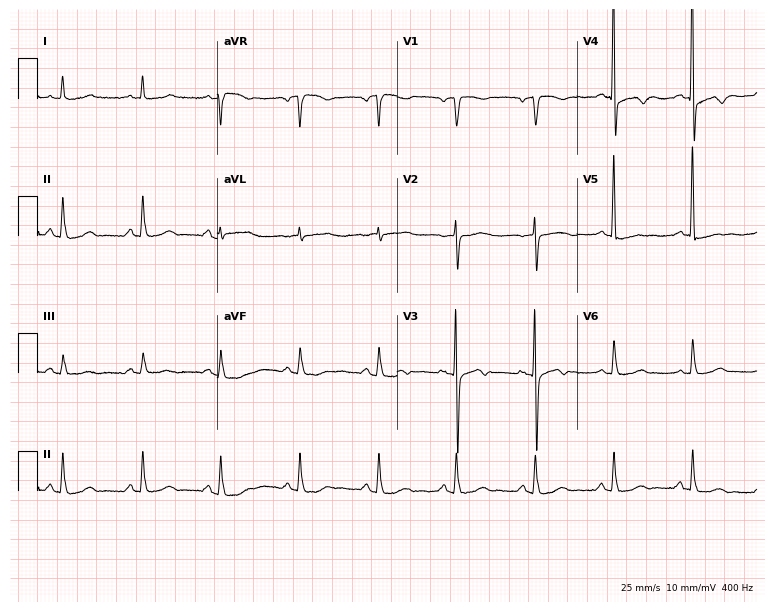
ECG — a 63-year-old female. Screened for six findings — first-degree AV block, right bundle branch block (RBBB), left bundle branch block (LBBB), sinus bradycardia, atrial fibrillation (AF), sinus tachycardia — none is recorded.